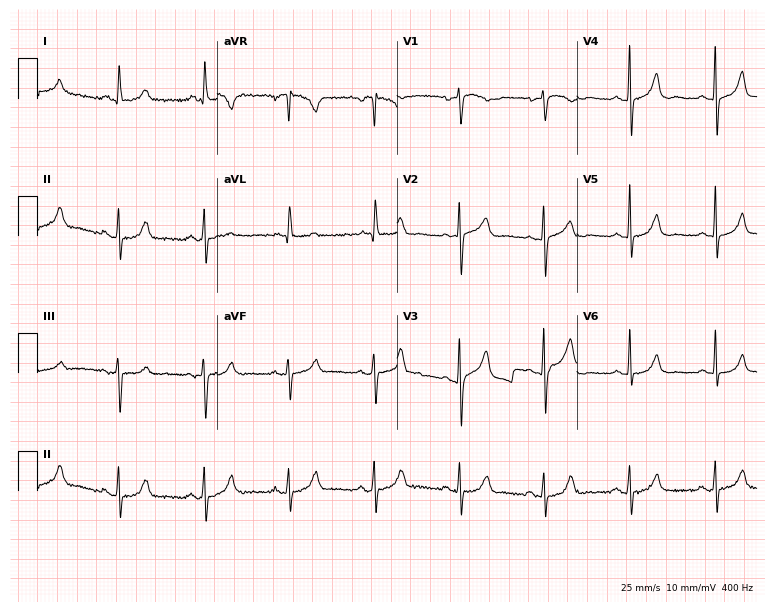
ECG — an 81-year-old female patient. Screened for six findings — first-degree AV block, right bundle branch block, left bundle branch block, sinus bradycardia, atrial fibrillation, sinus tachycardia — none is recorded.